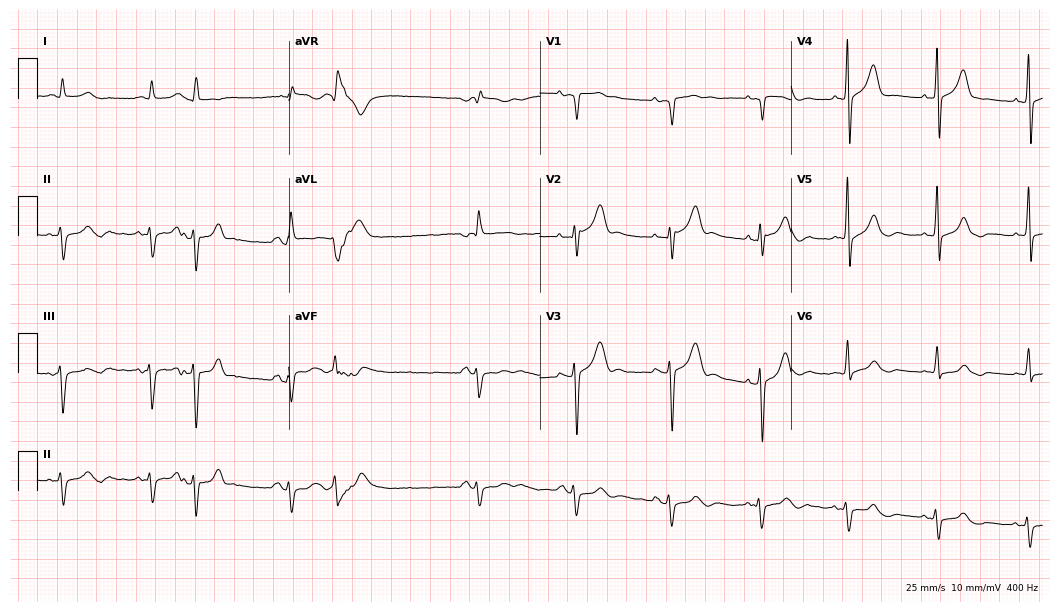
Standard 12-lead ECG recorded from a 65-year-old man (10.2-second recording at 400 Hz). None of these six findings is recorded: first-degree AV block, right bundle branch block, left bundle branch block, sinus bradycardia, atrial fibrillation, sinus tachycardia.